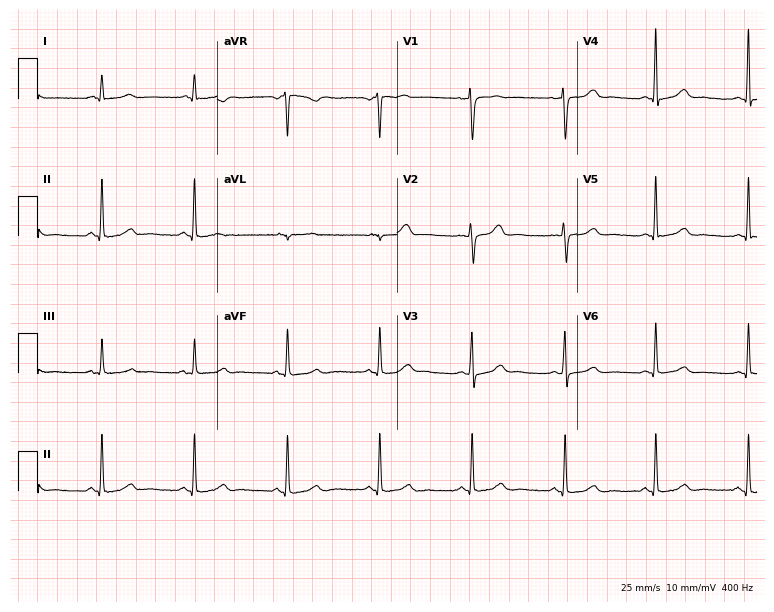
Resting 12-lead electrocardiogram (7.3-second recording at 400 Hz). Patient: a female, 41 years old. Read as a normal ECG.